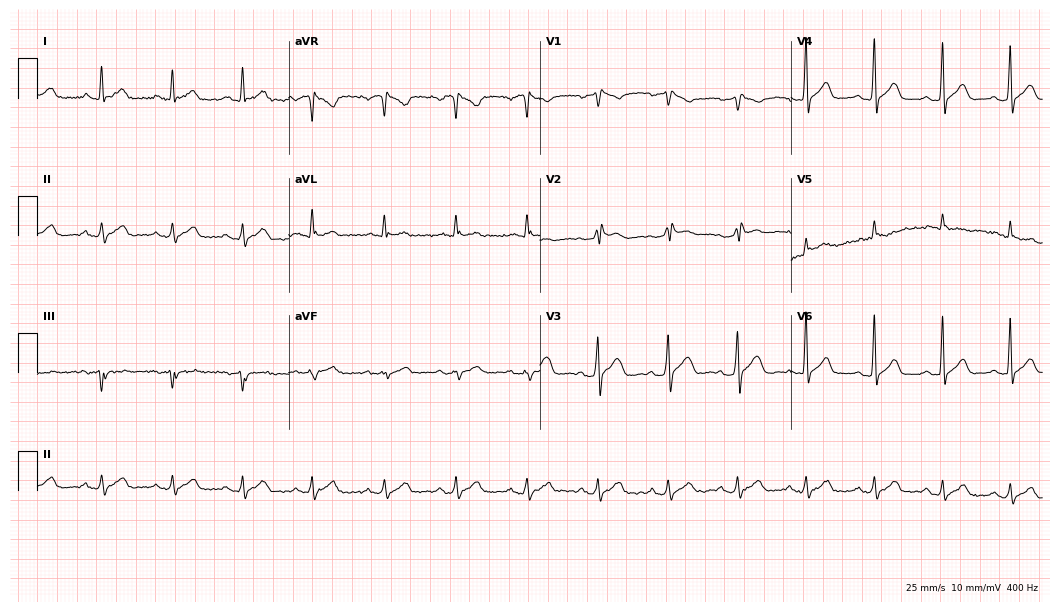
12-lead ECG from a male patient, 56 years old (10.2-second recording at 400 Hz). No first-degree AV block, right bundle branch block (RBBB), left bundle branch block (LBBB), sinus bradycardia, atrial fibrillation (AF) or sinus tachycardia recorded for this tracing.